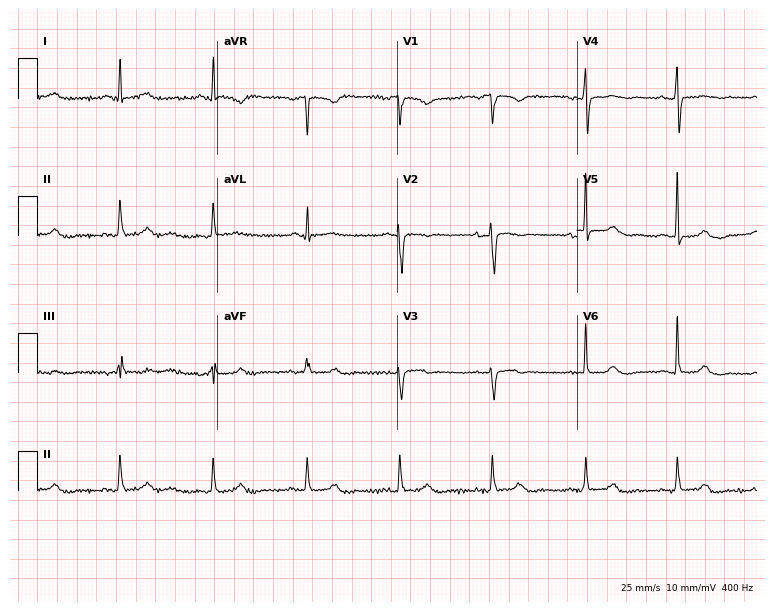
ECG — a 70-year-old woman. Screened for six findings — first-degree AV block, right bundle branch block, left bundle branch block, sinus bradycardia, atrial fibrillation, sinus tachycardia — none is recorded. Only these six findings were labelled.